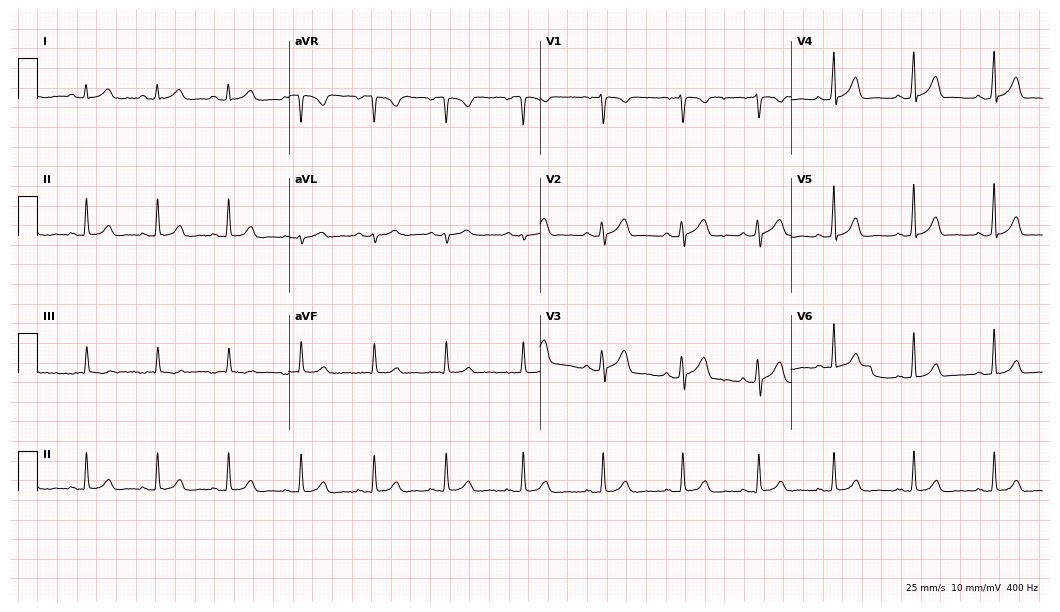
ECG — a woman, 29 years old. Labelled as a normal ECG.